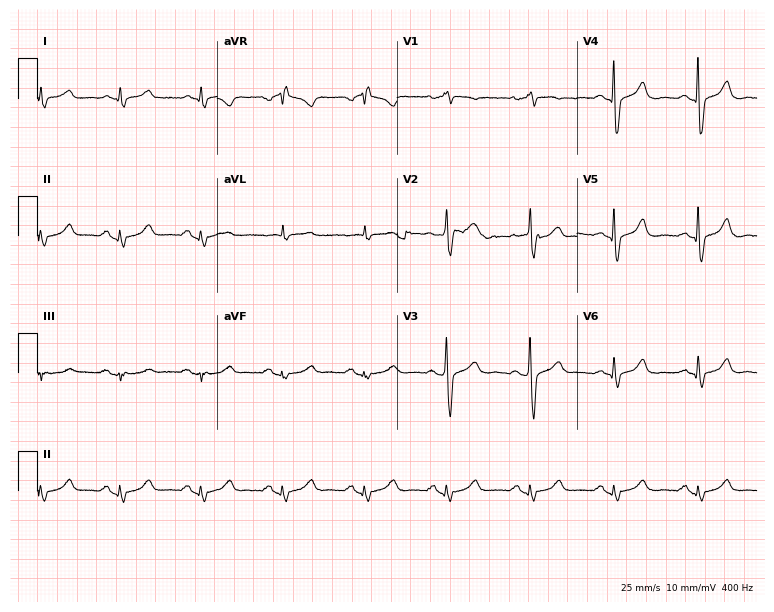
12-lead ECG from a 69-year-old female patient (7.3-second recording at 400 Hz). No first-degree AV block, right bundle branch block (RBBB), left bundle branch block (LBBB), sinus bradycardia, atrial fibrillation (AF) or sinus tachycardia recorded for this tracing.